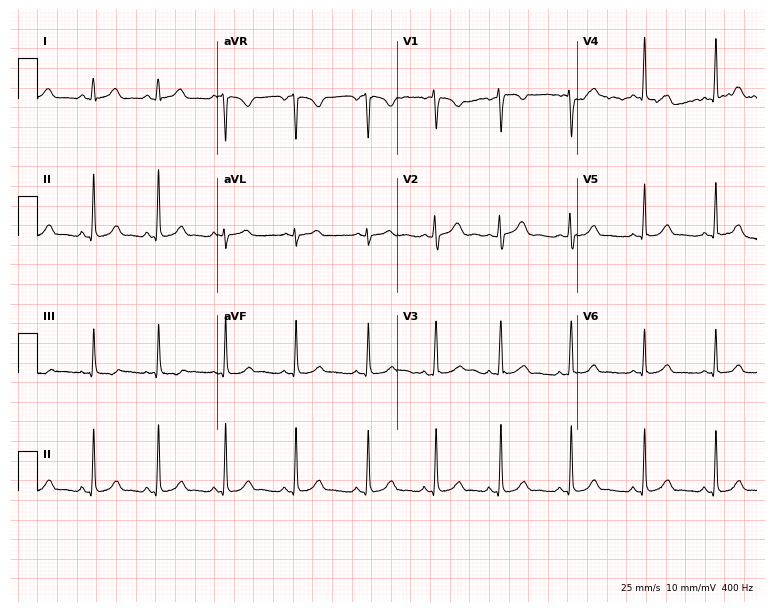
Electrocardiogram (7.3-second recording at 400 Hz), a 24-year-old female. Overall reading on record: normal ECG.